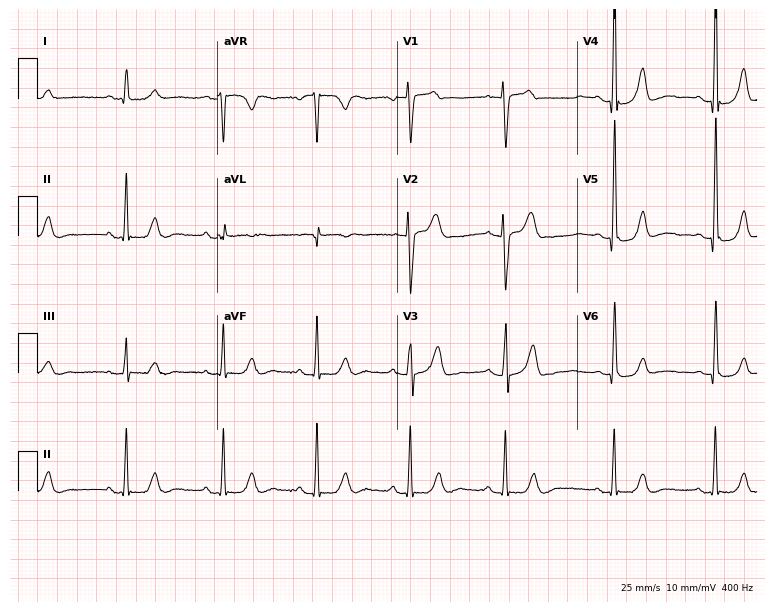
12-lead ECG from a woman, 69 years old. Labelled as a normal ECG.